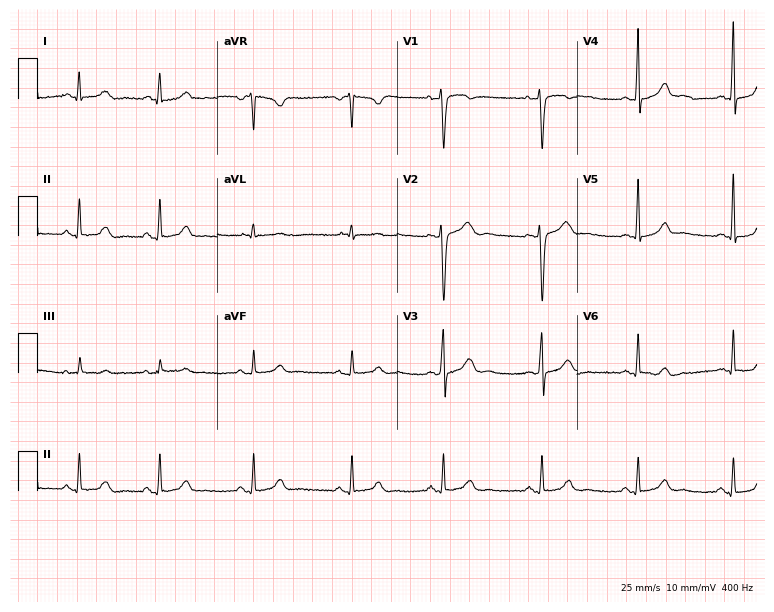
Electrocardiogram (7.3-second recording at 400 Hz), a 37-year-old female. Of the six screened findings (first-degree AV block, right bundle branch block (RBBB), left bundle branch block (LBBB), sinus bradycardia, atrial fibrillation (AF), sinus tachycardia), none is recorded. Other findings, if any, are not listed.